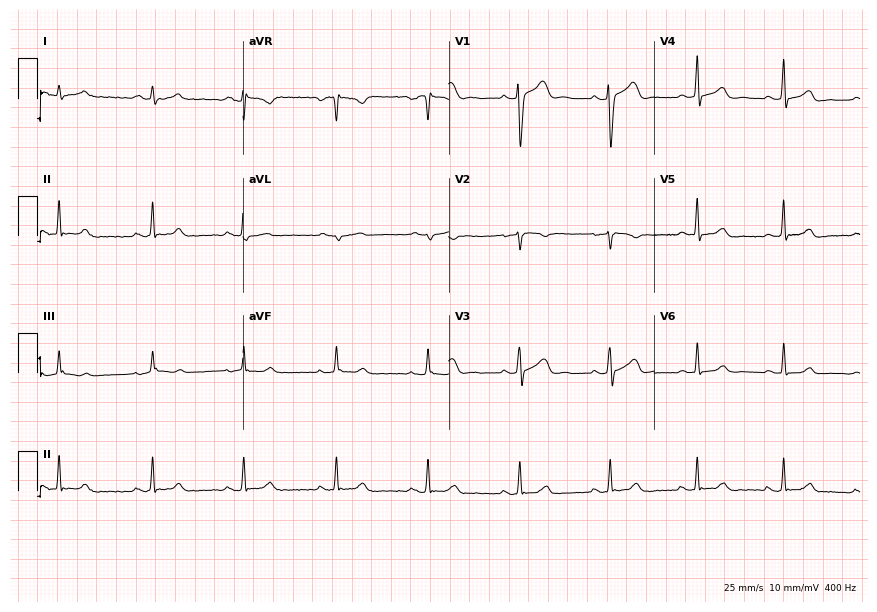
Electrocardiogram (8.4-second recording at 400 Hz), a female patient, 32 years old. Of the six screened findings (first-degree AV block, right bundle branch block, left bundle branch block, sinus bradycardia, atrial fibrillation, sinus tachycardia), none is recorded.